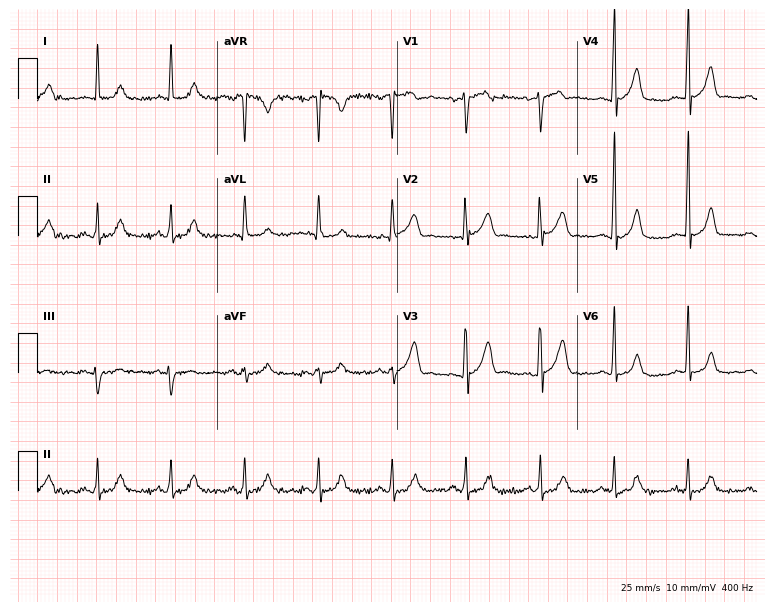
Electrocardiogram (7.3-second recording at 400 Hz), a 52-year-old male patient. Overall reading on record: normal ECG.